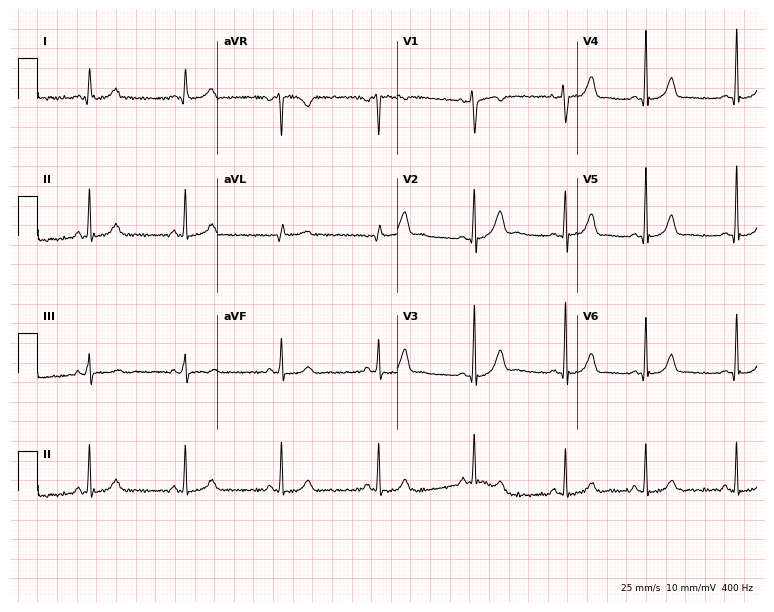
12-lead ECG from a woman, 26 years old (7.3-second recording at 400 Hz). No first-degree AV block, right bundle branch block, left bundle branch block, sinus bradycardia, atrial fibrillation or sinus tachycardia recorded for this tracing. Findings outside these six are not listed.